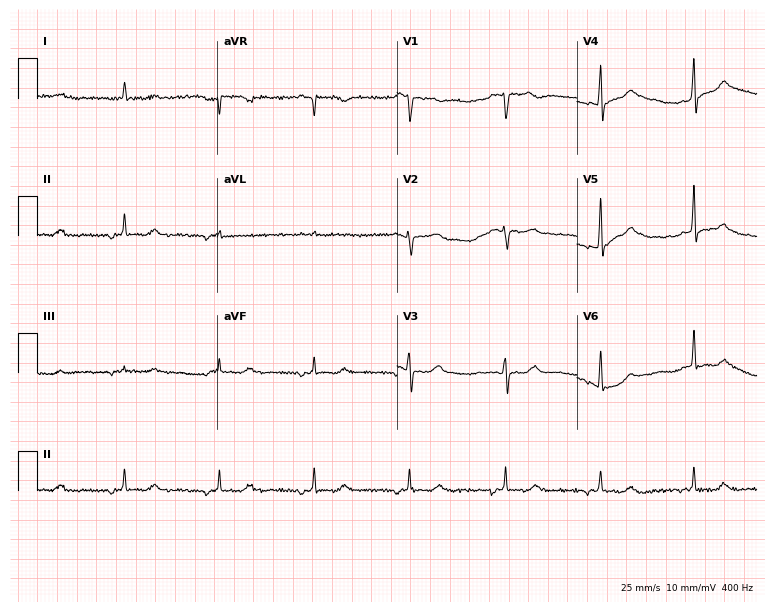
12-lead ECG from a 78-year-old male patient. No first-degree AV block, right bundle branch block (RBBB), left bundle branch block (LBBB), sinus bradycardia, atrial fibrillation (AF) or sinus tachycardia recorded for this tracing.